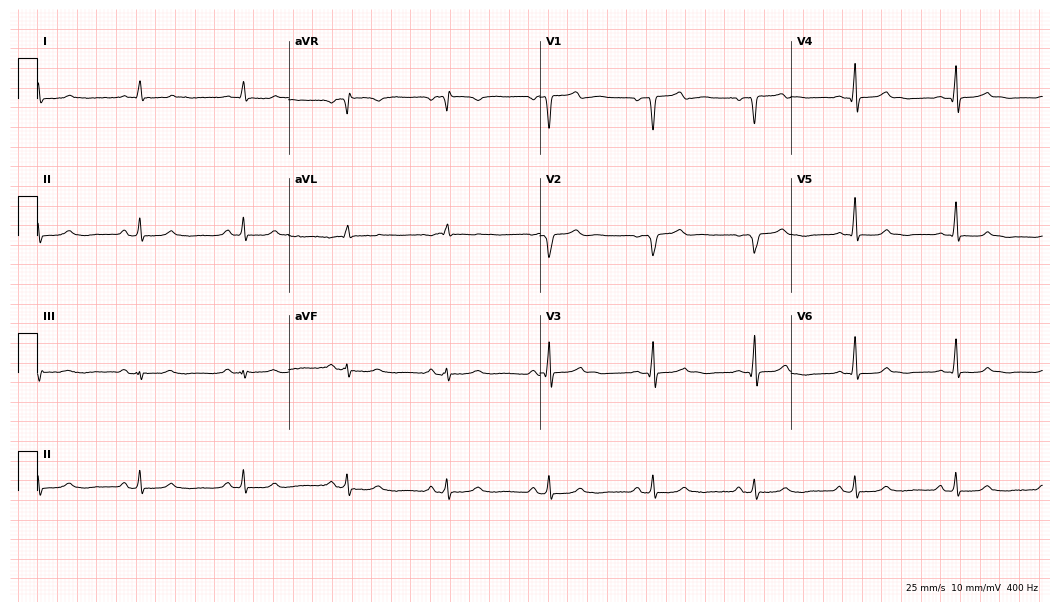
Standard 12-lead ECG recorded from a male patient, 79 years old (10.2-second recording at 400 Hz). Read as a normal ECG.